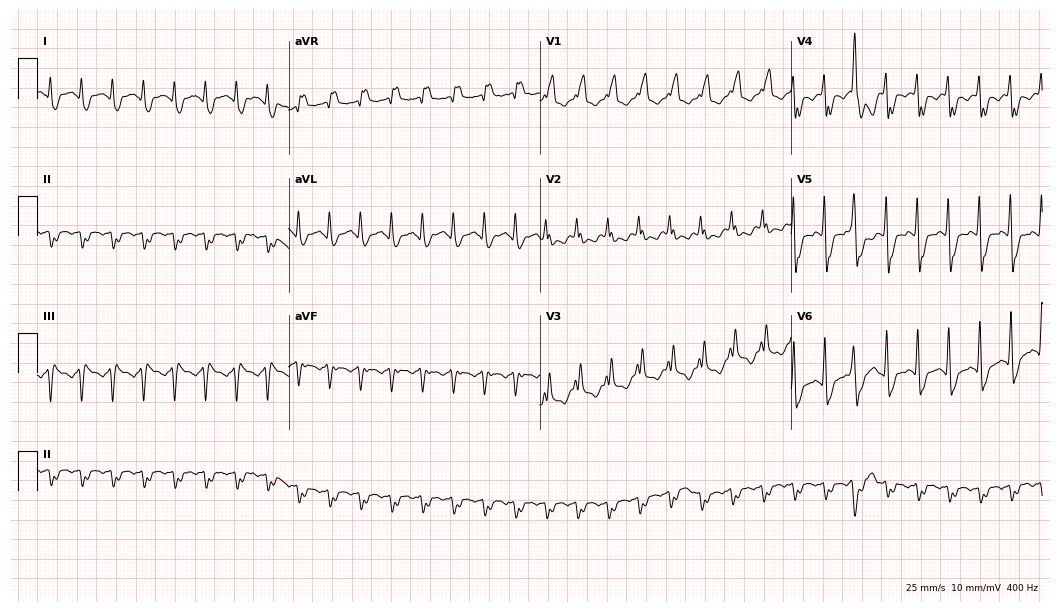
Standard 12-lead ECG recorded from a 72-year-old male (10.2-second recording at 400 Hz). None of these six findings is recorded: first-degree AV block, right bundle branch block, left bundle branch block, sinus bradycardia, atrial fibrillation, sinus tachycardia. Only these six findings were labelled.